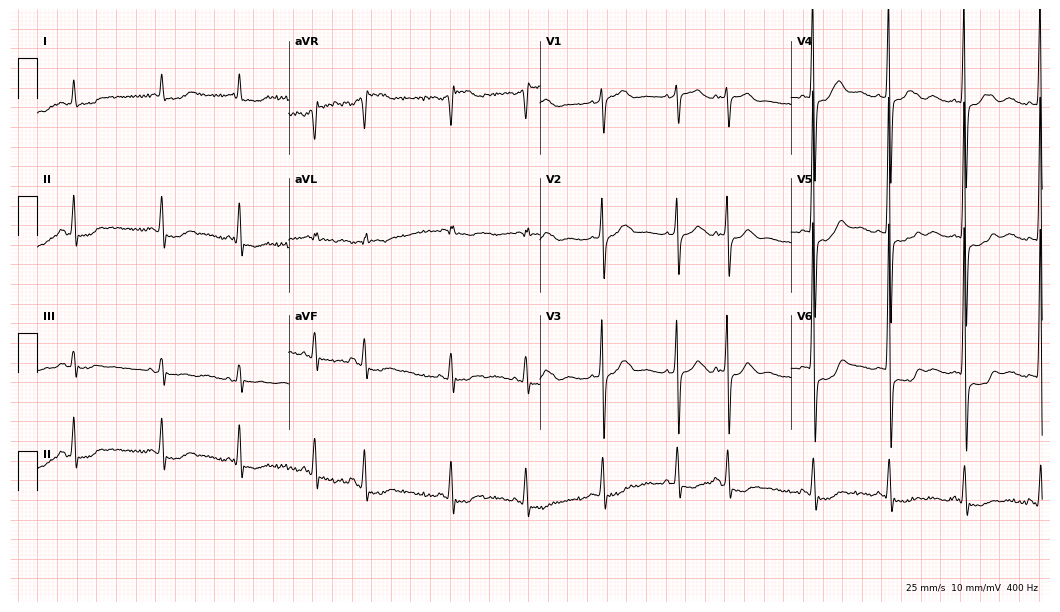
12-lead ECG from an 82-year-old female. Screened for six findings — first-degree AV block, right bundle branch block, left bundle branch block, sinus bradycardia, atrial fibrillation, sinus tachycardia — none is recorded. Findings outside these six are not listed.